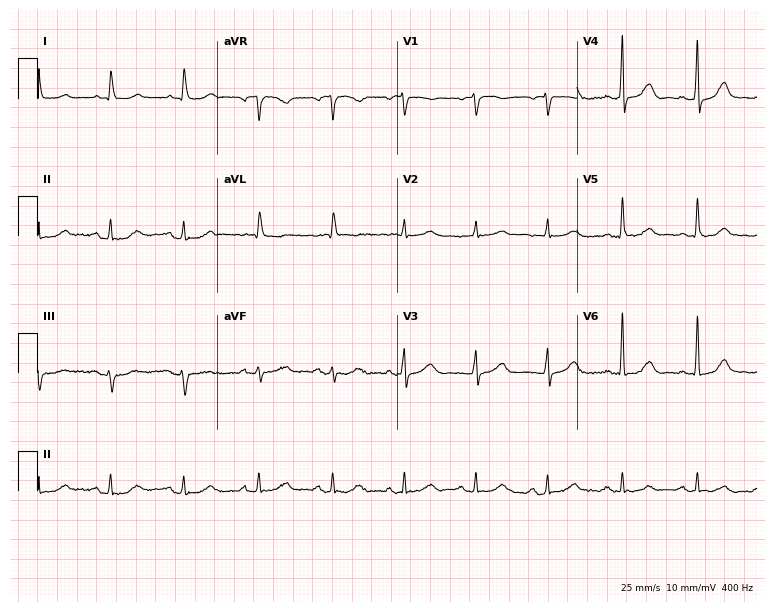
ECG — a female patient, 69 years old. Labelled as a normal ECG.